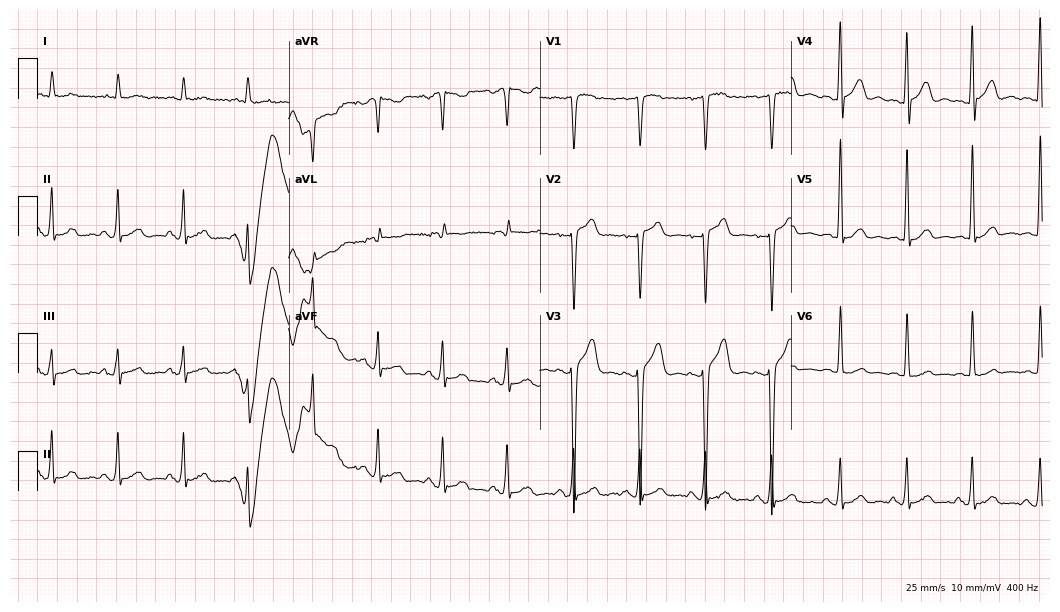
12-lead ECG from a 35-year-old male. Labelled as a normal ECG.